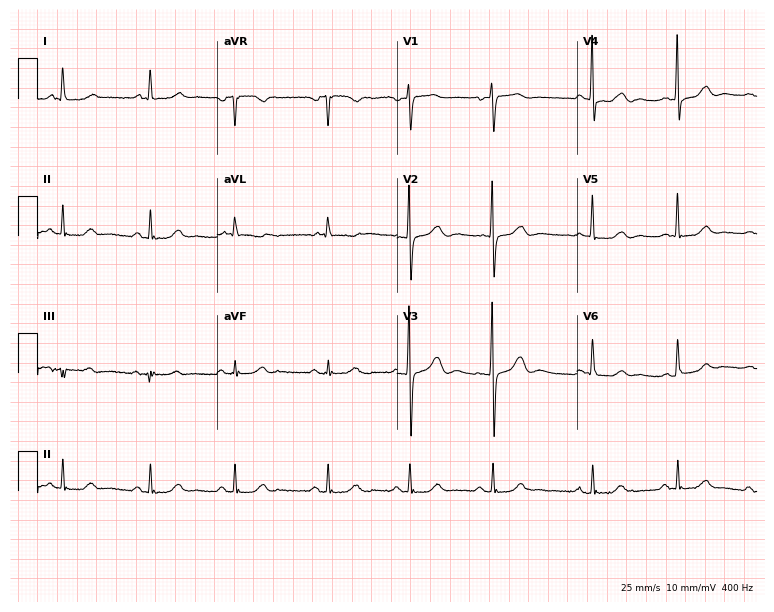
Electrocardiogram (7.3-second recording at 400 Hz), an 80-year-old female. Overall reading on record: normal ECG.